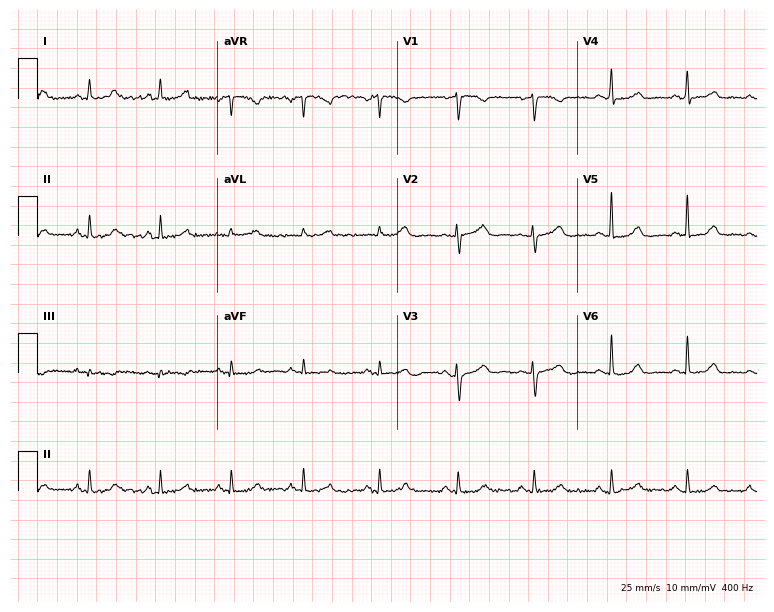
ECG — a female patient, 47 years old. Screened for six findings — first-degree AV block, right bundle branch block, left bundle branch block, sinus bradycardia, atrial fibrillation, sinus tachycardia — none is recorded.